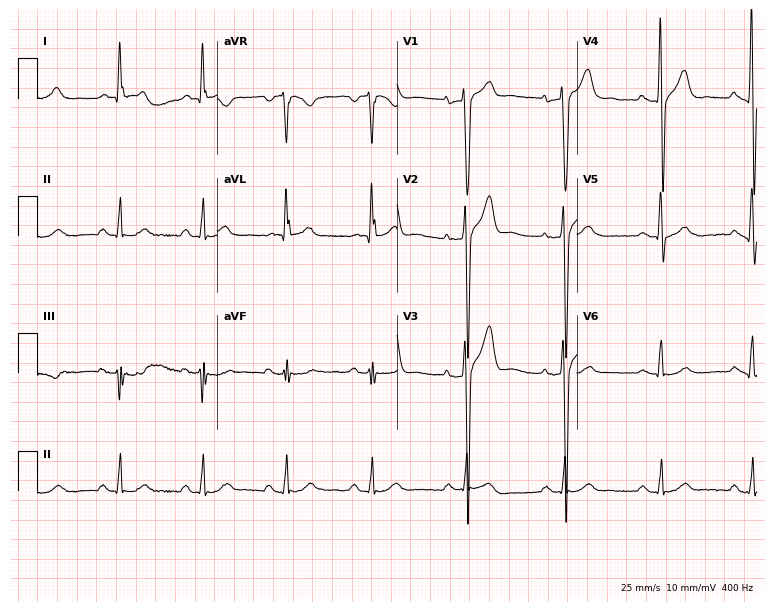
ECG (7.3-second recording at 400 Hz) — a male, 47 years old. Labelled as a normal ECG.